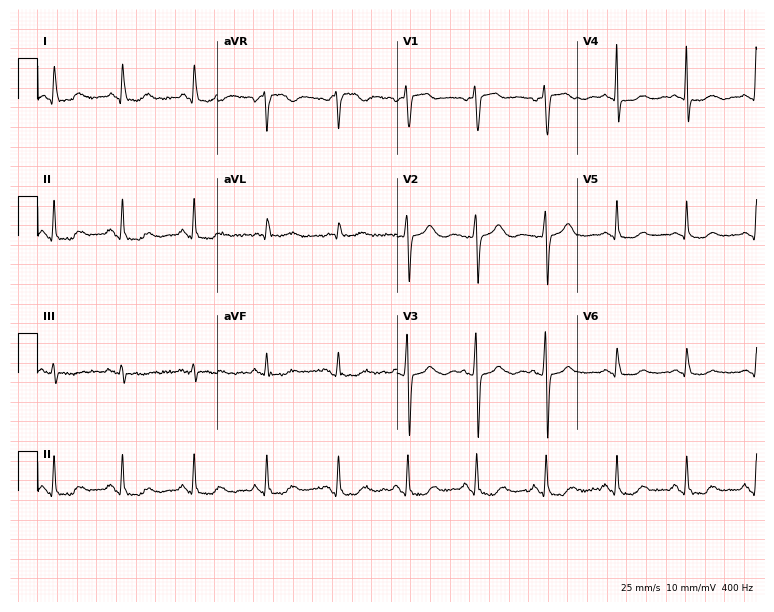
12-lead ECG from a 76-year-old female. Recorded interpretation: within normal limits.